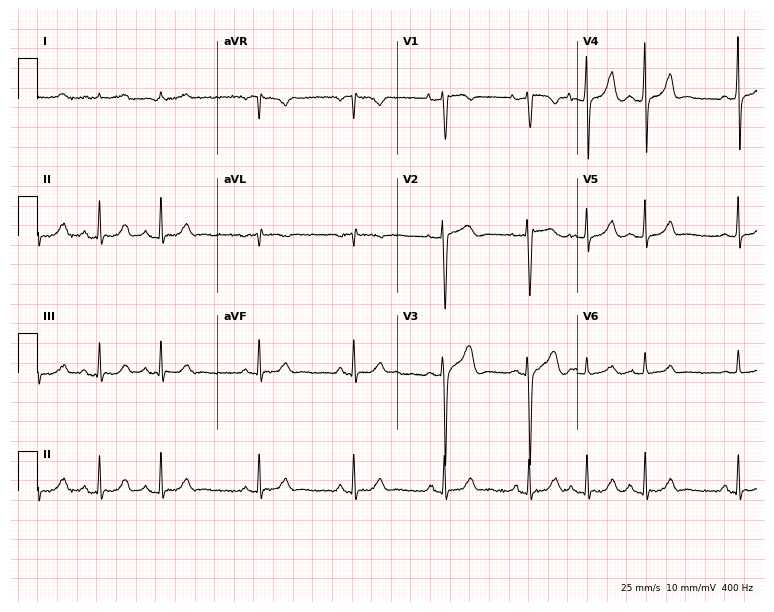
12-lead ECG from an 81-year-old female. No first-degree AV block, right bundle branch block (RBBB), left bundle branch block (LBBB), sinus bradycardia, atrial fibrillation (AF) or sinus tachycardia recorded for this tracing.